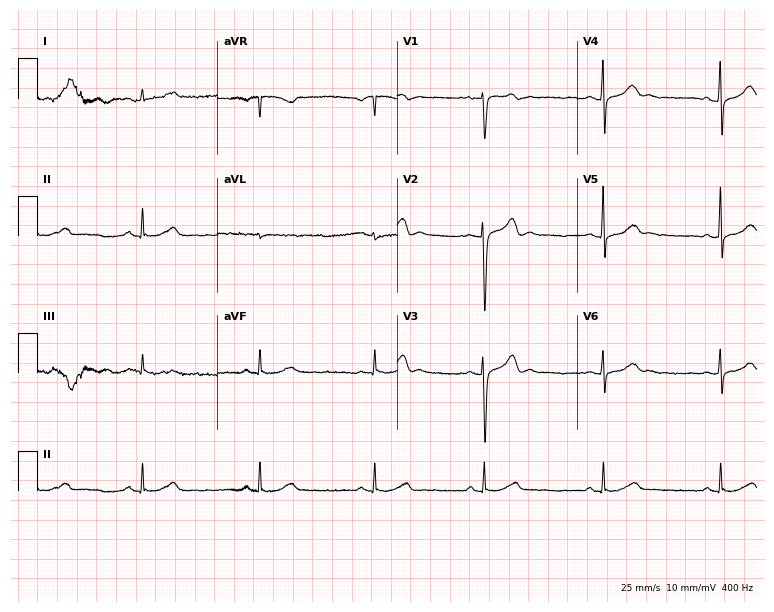
12-lead ECG (7.3-second recording at 400 Hz) from a man, 42 years old. Labelled as a normal ECG.